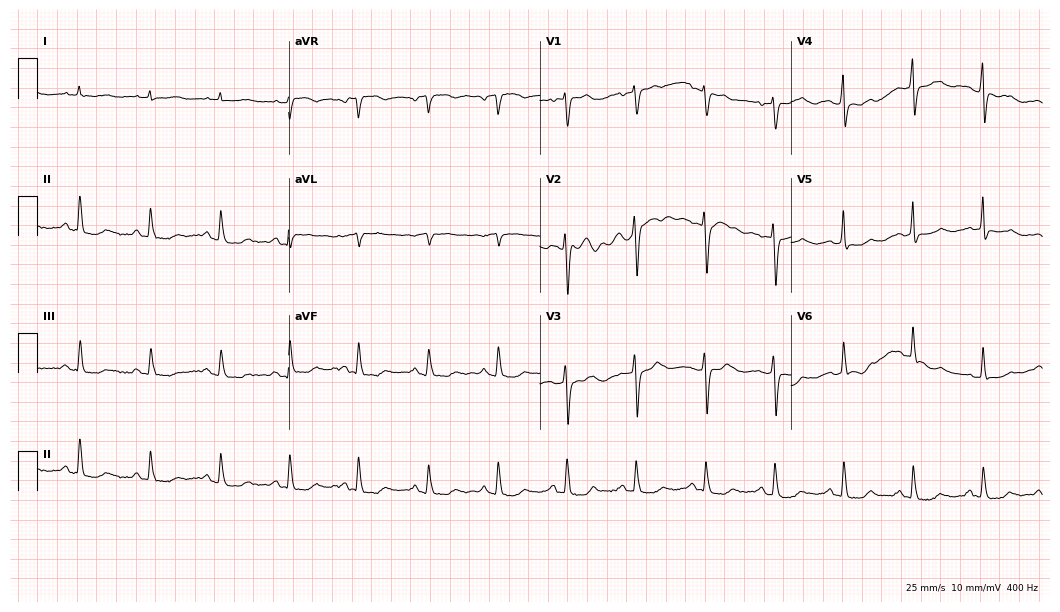
ECG — a woman, 67 years old. Screened for six findings — first-degree AV block, right bundle branch block, left bundle branch block, sinus bradycardia, atrial fibrillation, sinus tachycardia — none is recorded.